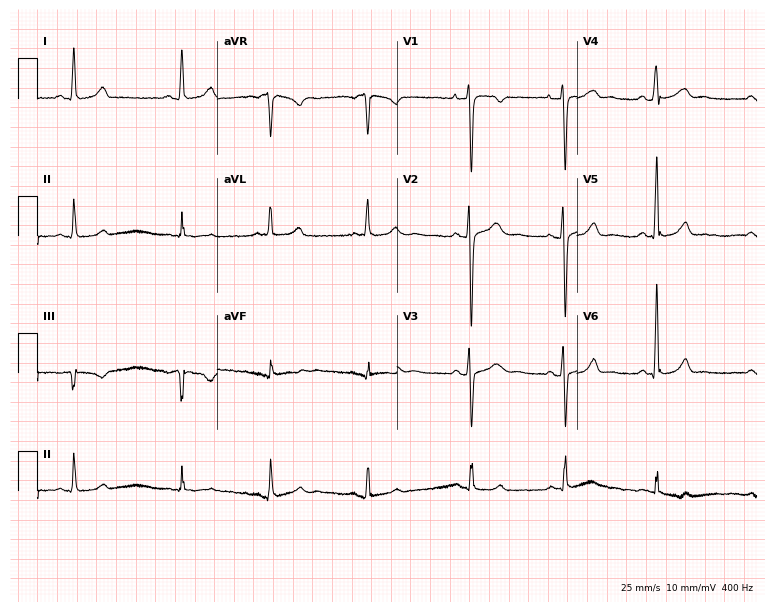
12-lead ECG from a 22-year-old female. Screened for six findings — first-degree AV block, right bundle branch block, left bundle branch block, sinus bradycardia, atrial fibrillation, sinus tachycardia — none is recorded. Other findings, if any, are not listed.